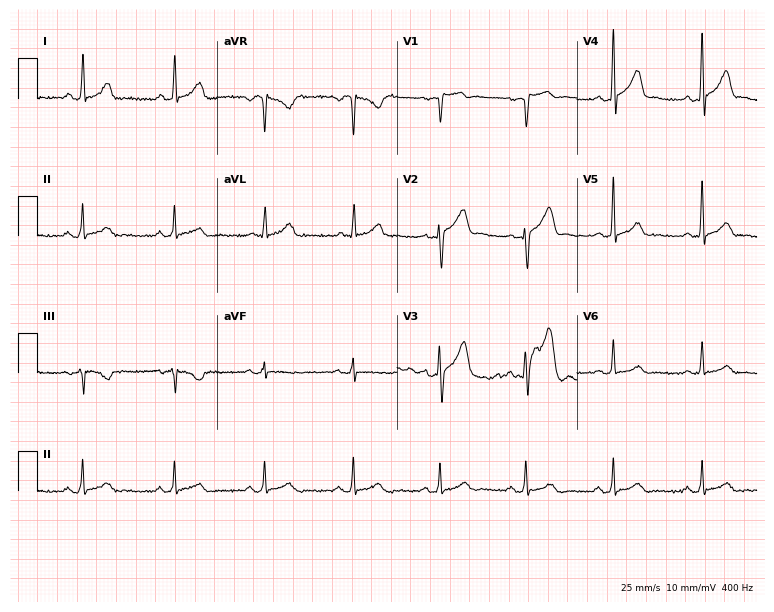
ECG — a 47-year-old male patient. Labelled as a normal ECG.